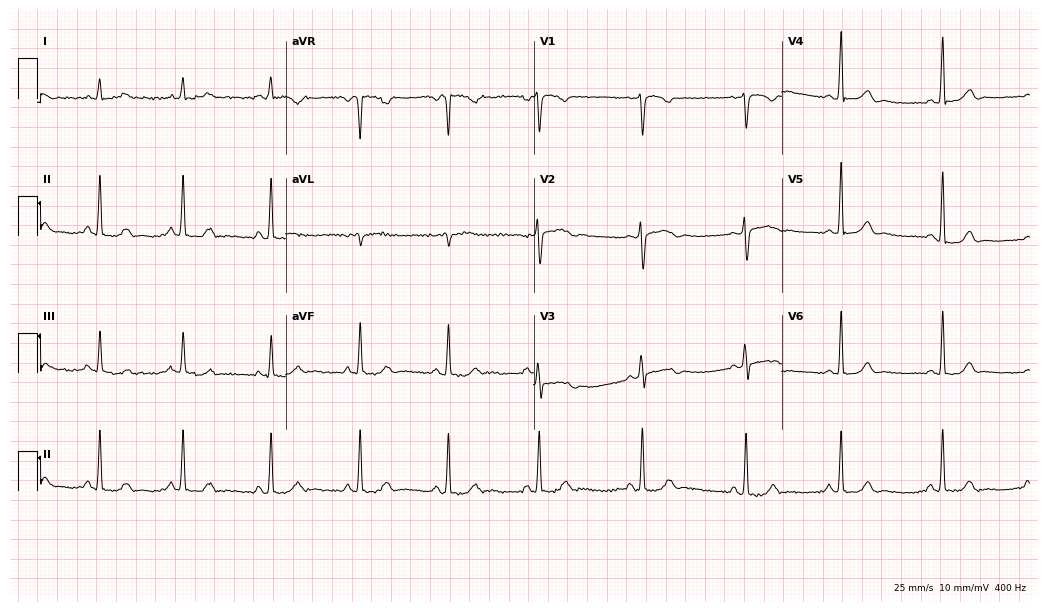
Electrocardiogram, a female, 38 years old. Overall reading on record: normal ECG.